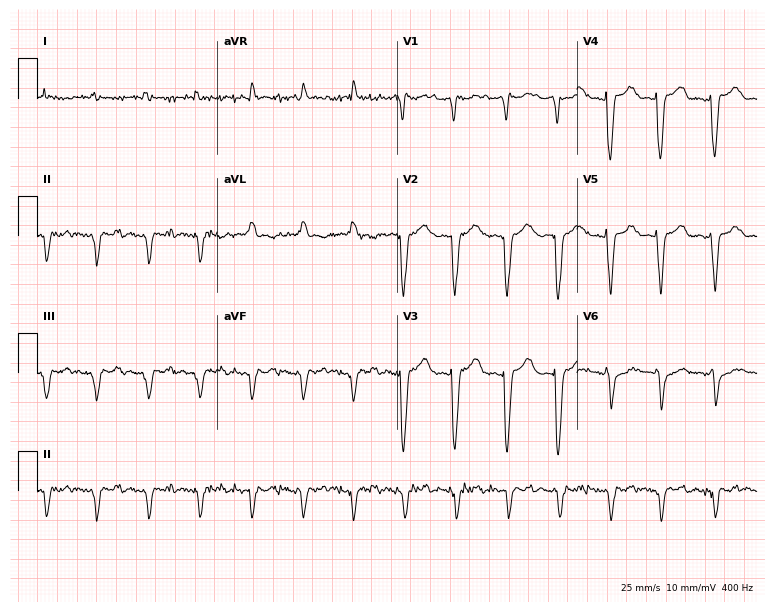
Standard 12-lead ECG recorded from an 83-year-old male patient (7.3-second recording at 400 Hz). None of these six findings is recorded: first-degree AV block, right bundle branch block (RBBB), left bundle branch block (LBBB), sinus bradycardia, atrial fibrillation (AF), sinus tachycardia.